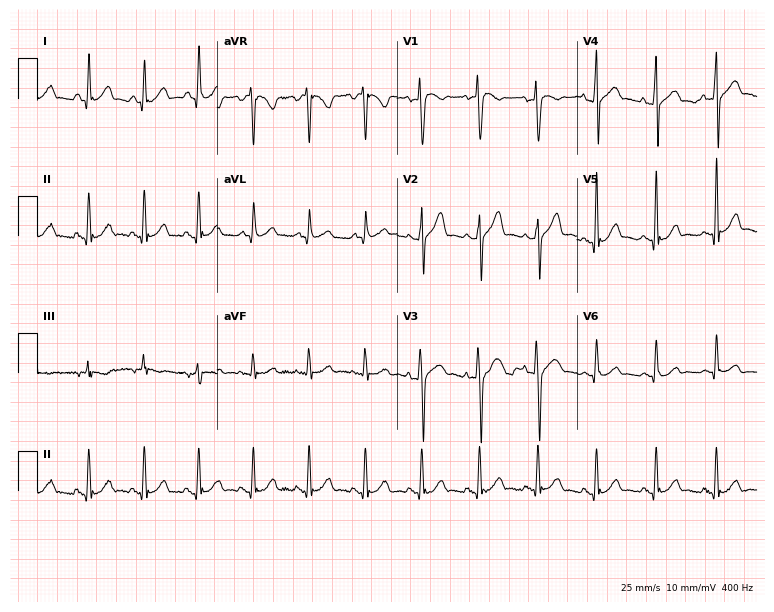
Standard 12-lead ECG recorded from a 31-year-old male (7.3-second recording at 400 Hz). The tracing shows sinus tachycardia (a sinus rate of 100 beats per minute or more).